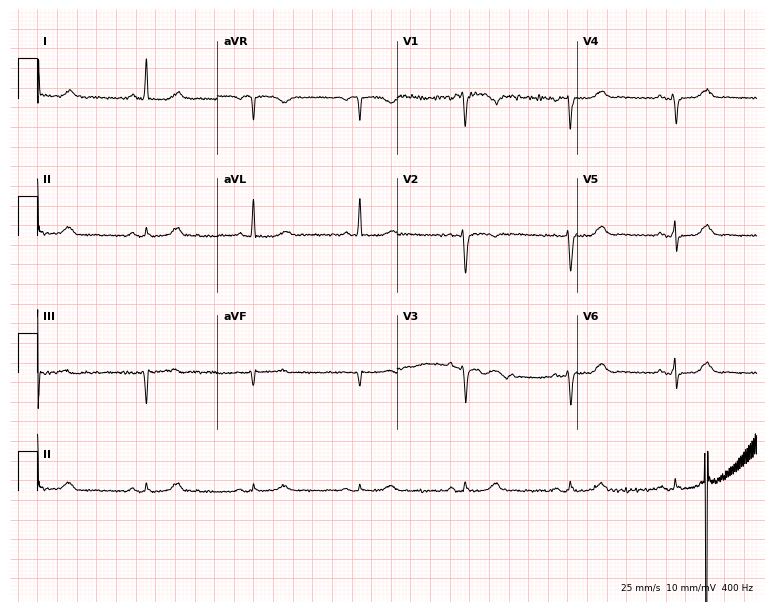
ECG (7.3-second recording at 400 Hz) — a female patient, 77 years old. Screened for six findings — first-degree AV block, right bundle branch block, left bundle branch block, sinus bradycardia, atrial fibrillation, sinus tachycardia — none is recorded. Findings outside these six are not listed.